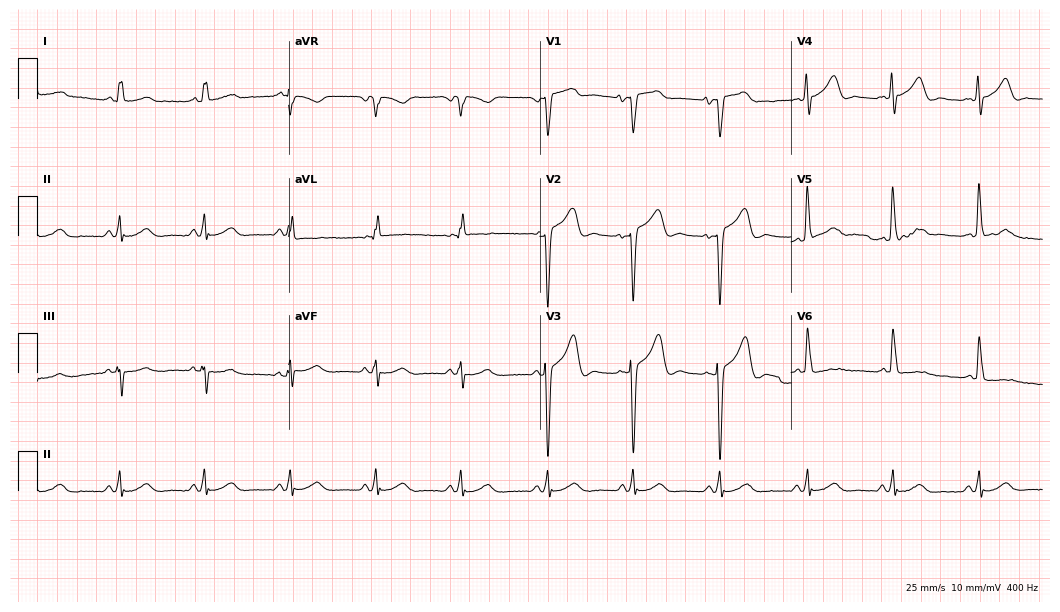
Resting 12-lead electrocardiogram. Patient: a male, 41 years old. Read as a normal ECG.